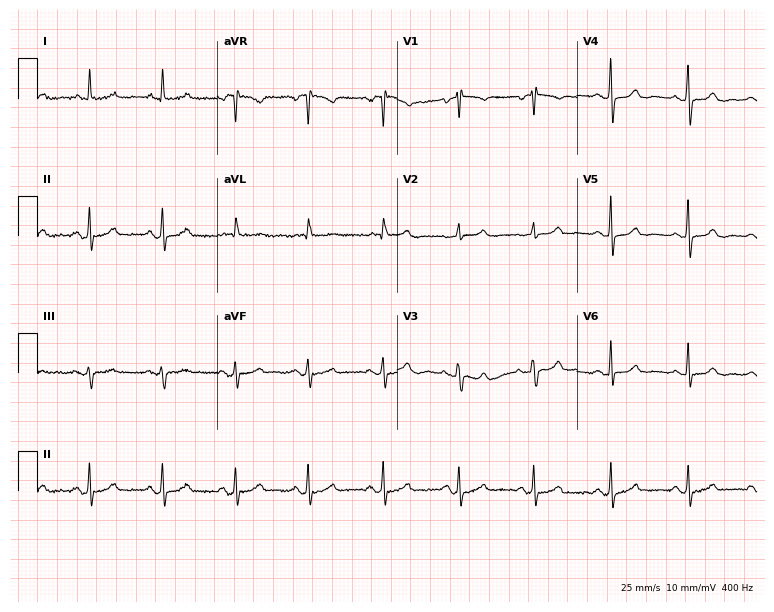
12-lead ECG from a woman, 79 years old (7.3-second recording at 400 Hz). No first-degree AV block, right bundle branch block (RBBB), left bundle branch block (LBBB), sinus bradycardia, atrial fibrillation (AF) or sinus tachycardia recorded for this tracing.